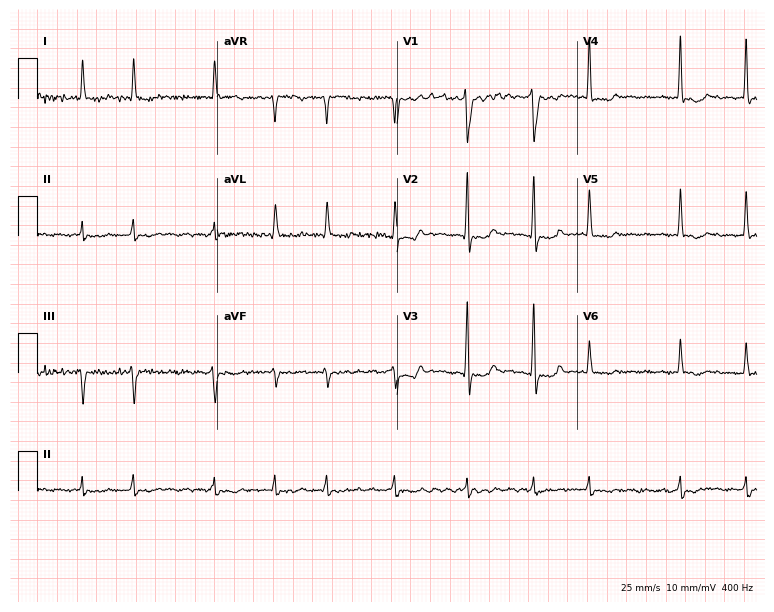
12-lead ECG from a 72-year-old female patient. Findings include atrial fibrillation.